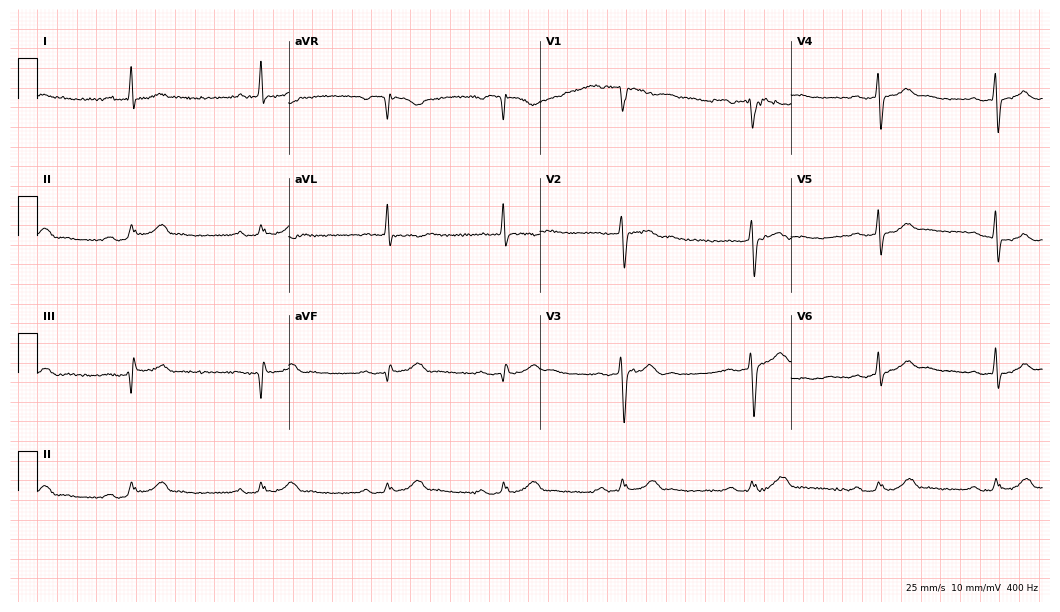
Standard 12-lead ECG recorded from a male patient, 68 years old. The tracing shows first-degree AV block, right bundle branch block (RBBB).